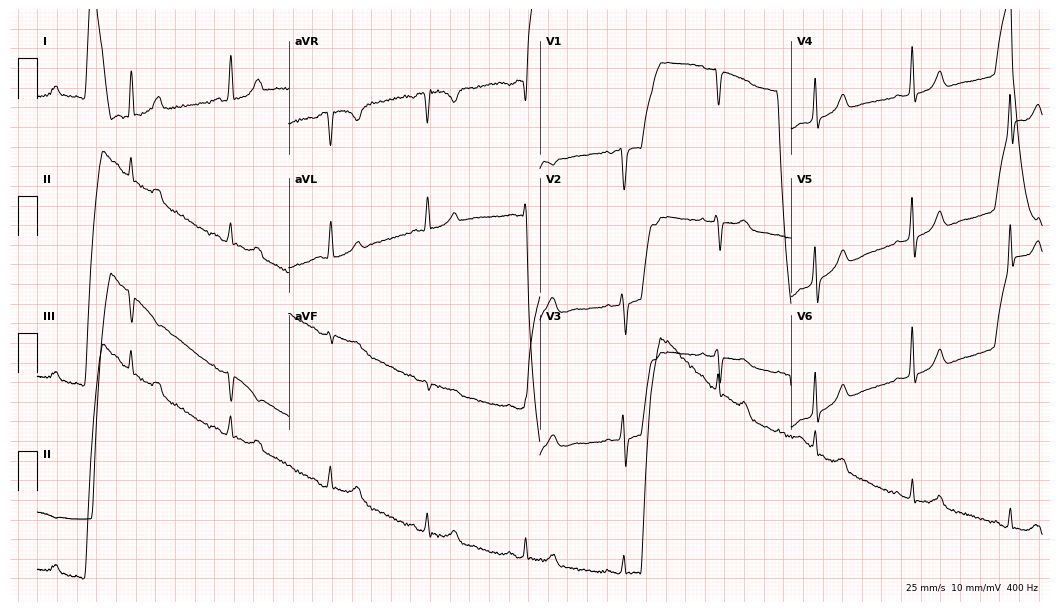
12-lead ECG from a 54-year-old woman. Screened for six findings — first-degree AV block, right bundle branch block, left bundle branch block, sinus bradycardia, atrial fibrillation, sinus tachycardia — none is recorded.